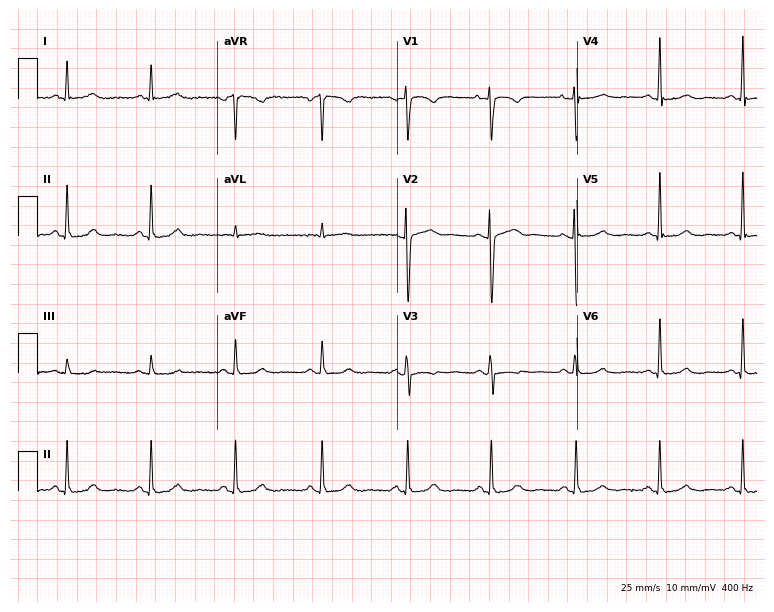
12-lead ECG from a female patient, 61 years old. Screened for six findings — first-degree AV block, right bundle branch block, left bundle branch block, sinus bradycardia, atrial fibrillation, sinus tachycardia — none is recorded. Findings outside these six are not listed.